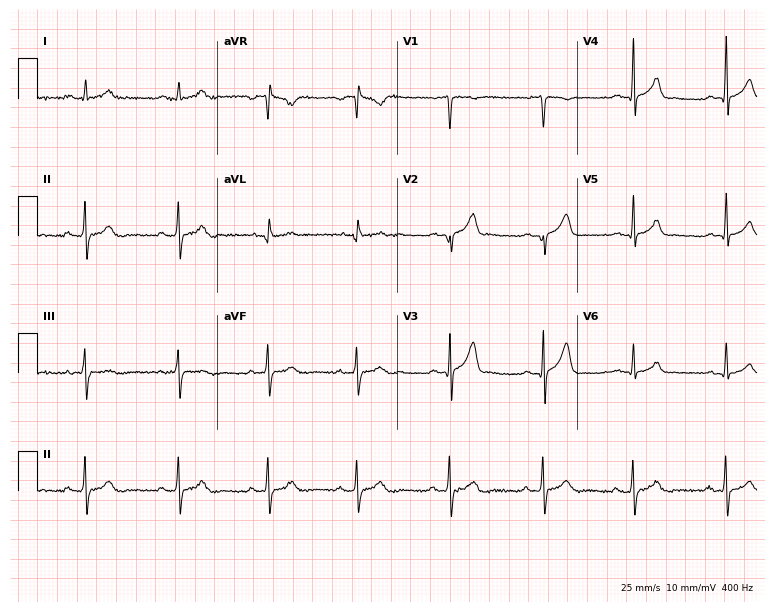
ECG (7.3-second recording at 400 Hz) — a male patient, 22 years old. Screened for six findings — first-degree AV block, right bundle branch block, left bundle branch block, sinus bradycardia, atrial fibrillation, sinus tachycardia — none is recorded.